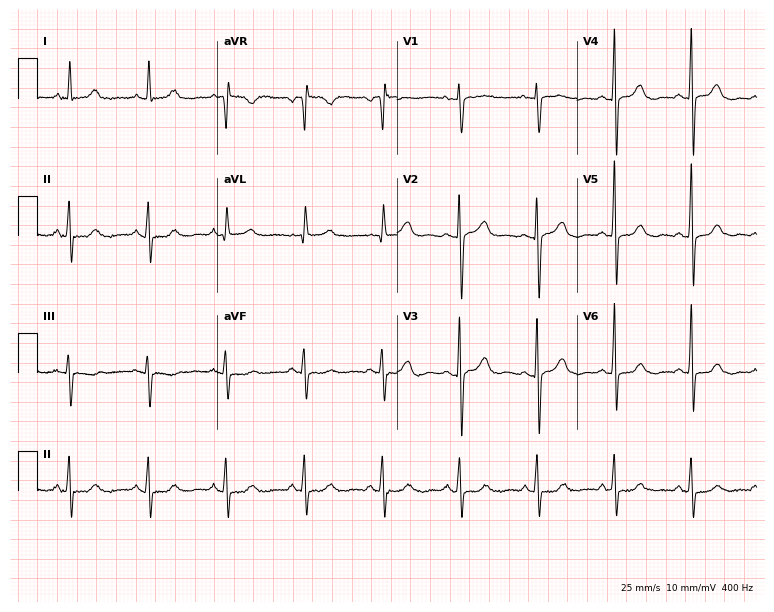
ECG — a 61-year-old woman. Labelled as a normal ECG.